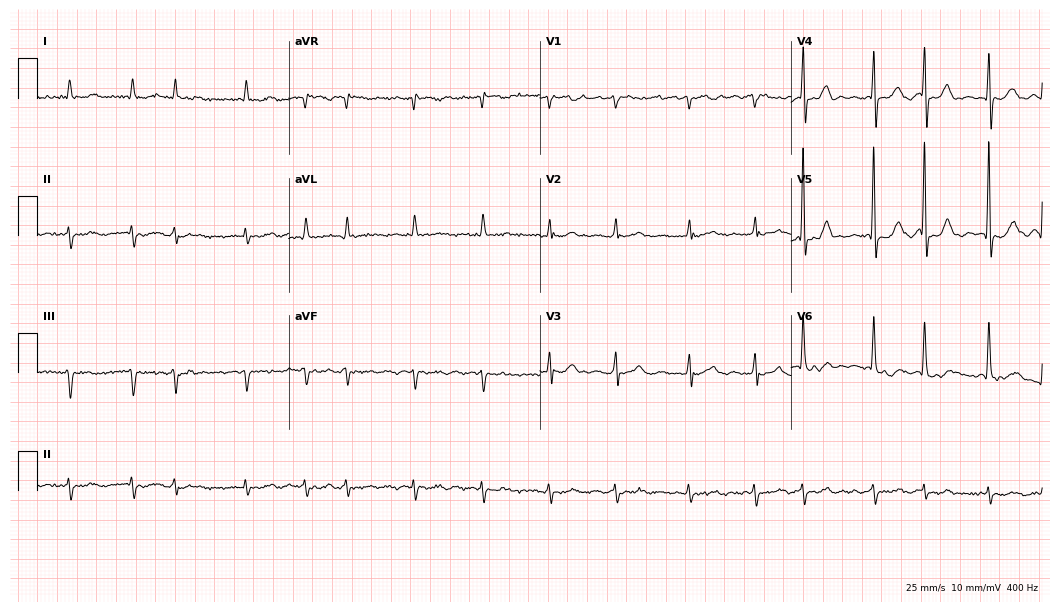
12-lead ECG from a 72-year-old male. Shows atrial fibrillation (AF).